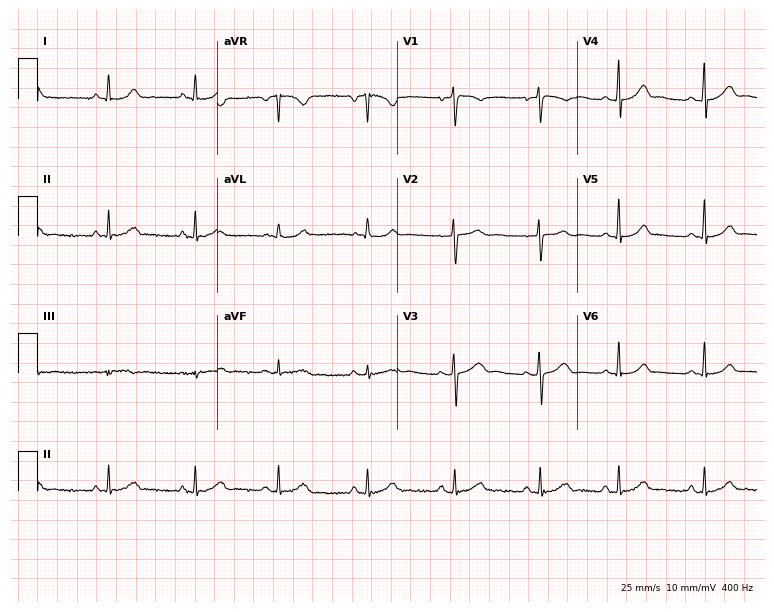
12-lead ECG from a 34-year-old female patient (7.3-second recording at 400 Hz). Recorded interpretation: within normal limits.